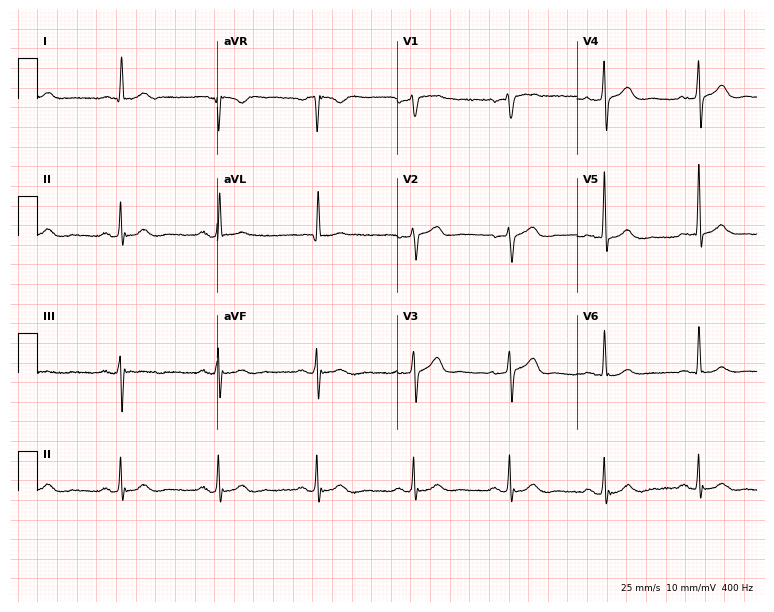
12-lead ECG from a 74-year-old woman (7.3-second recording at 400 Hz). Recorded interpretation: within normal limits.